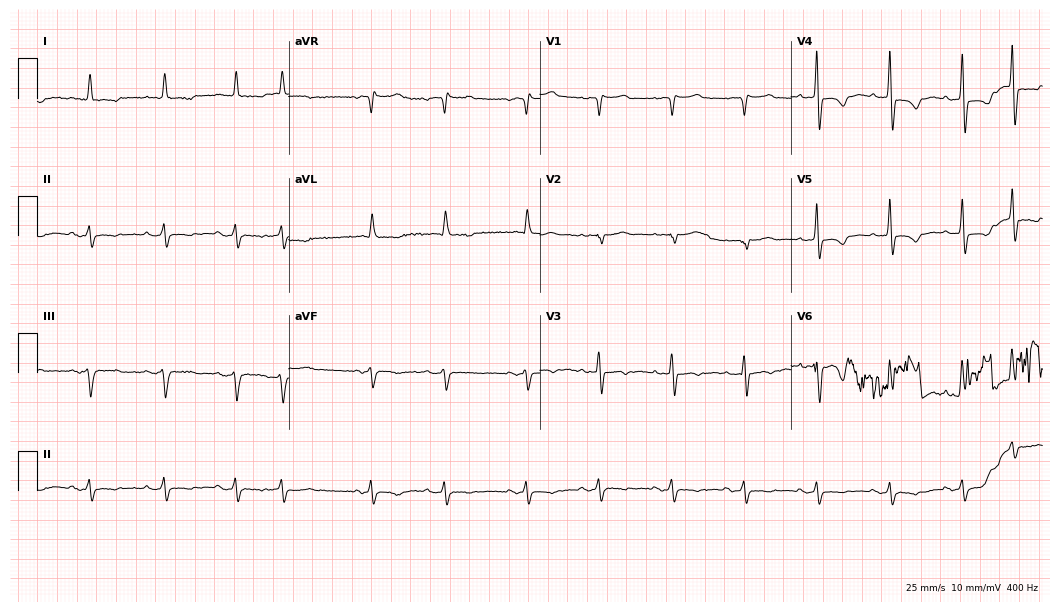
12-lead ECG from an 81-year-old man (10.2-second recording at 400 Hz). No first-degree AV block, right bundle branch block, left bundle branch block, sinus bradycardia, atrial fibrillation or sinus tachycardia recorded for this tracing. Findings outside these six are not listed.